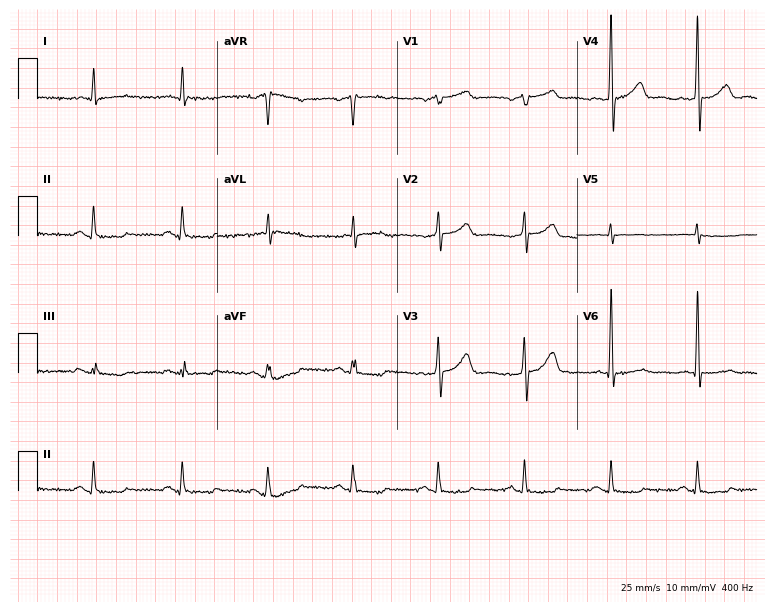
12-lead ECG from a man, 84 years old. No first-degree AV block, right bundle branch block (RBBB), left bundle branch block (LBBB), sinus bradycardia, atrial fibrillation (AF) or sinus tachycardia recorded for this tracing. Only these six findings were labelled.